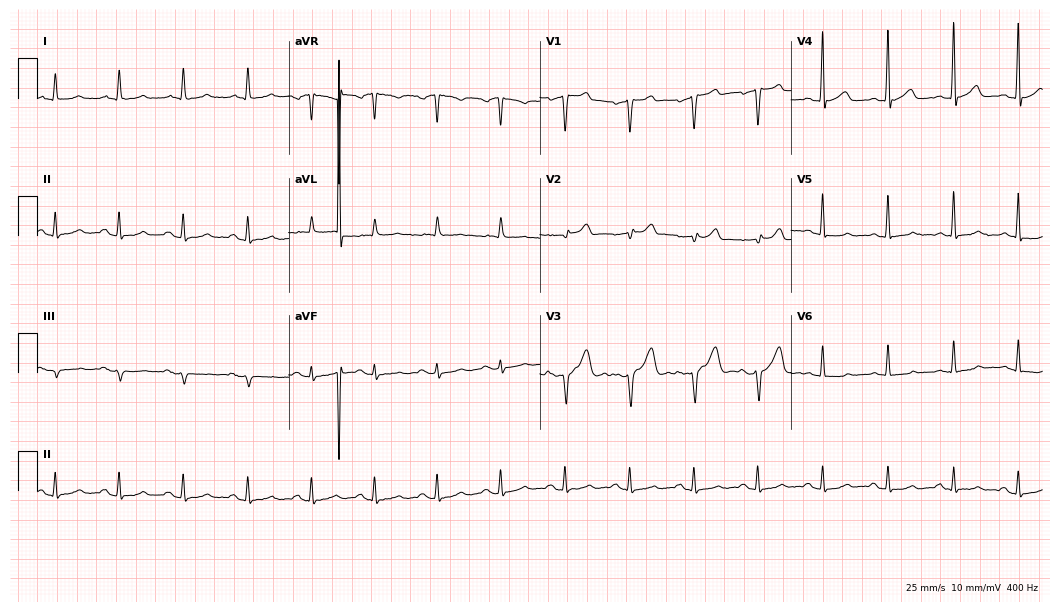
Electrocardiogram, a man, 61 years old. Of the six screened findings (first-degree AV block, right bundle branch block (RBBB), left bundle branch block (LBBB), sinus bradycardia, atrial fibrillation (AF), sinus tachycardia), none is recorded. Only these six findings were labelled.